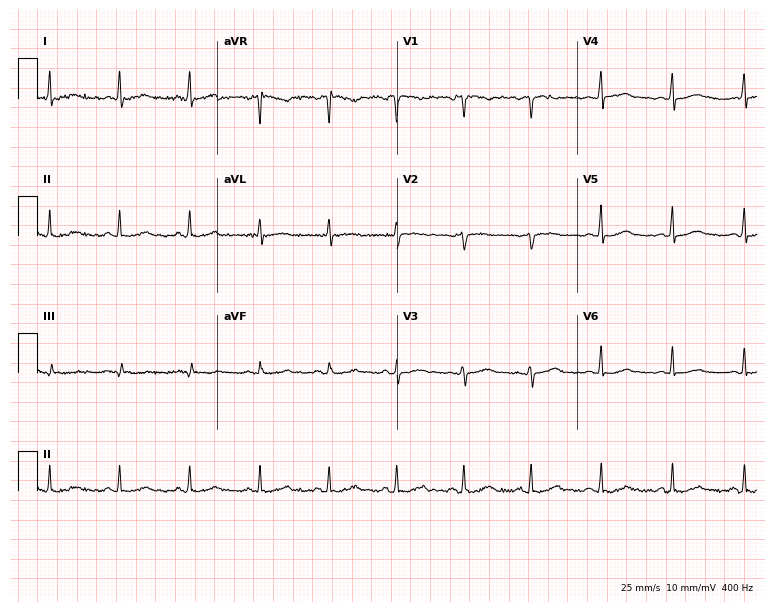
Resting 12-lead electrocardiogram. Patient: a 58-year-old female. None of these six findings is recorded: first-degree AV block, right bundle branch block (RBBB), left bundle branch block (LBBB), sinus bradycardia, atrial fibrillation (AF), sinus tachycardia. Other findings, if any, are not listed.